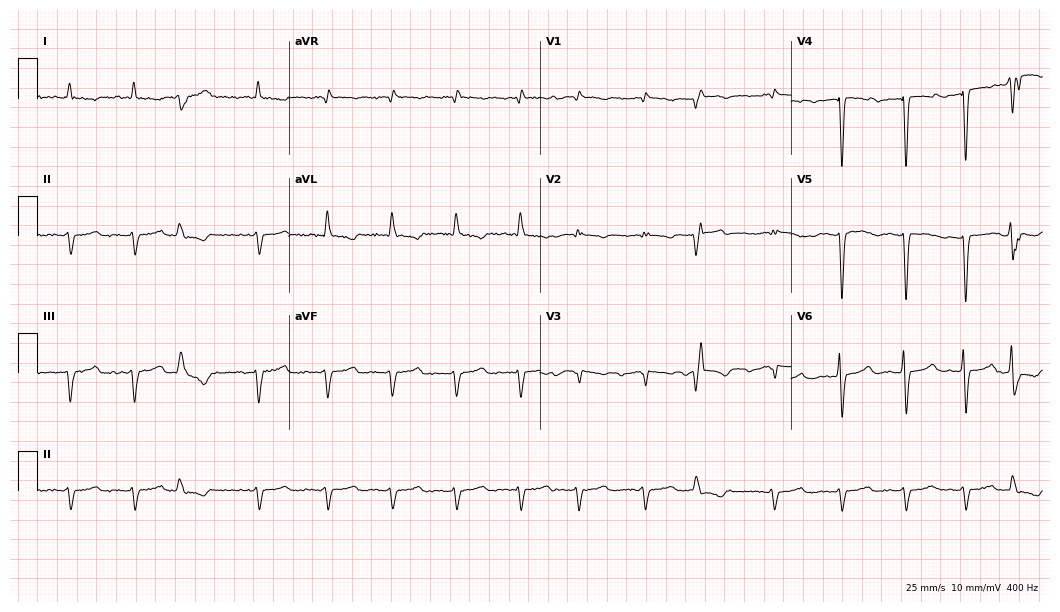
ECG — an 83-year-old male patient. Findings include atrial fibrillation.